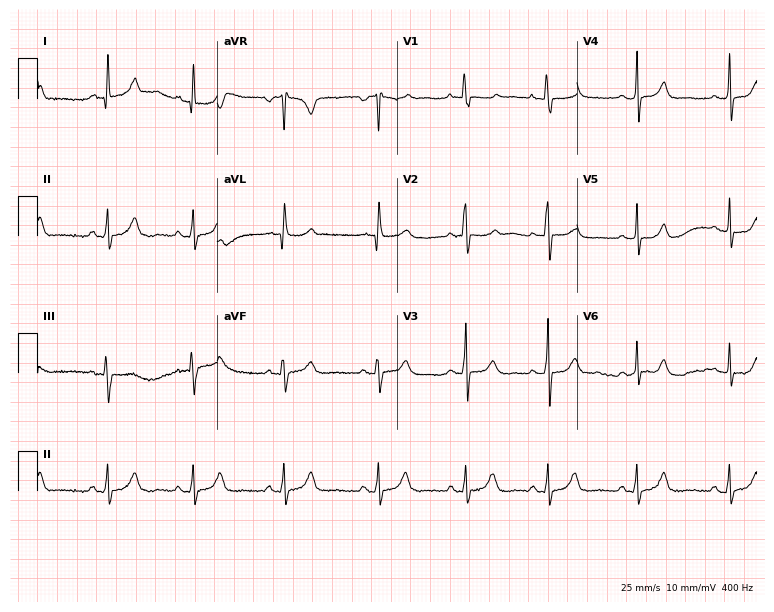
12-lead ECG from a female patient, 18 years old. Recorded interpretation: within normal limits.